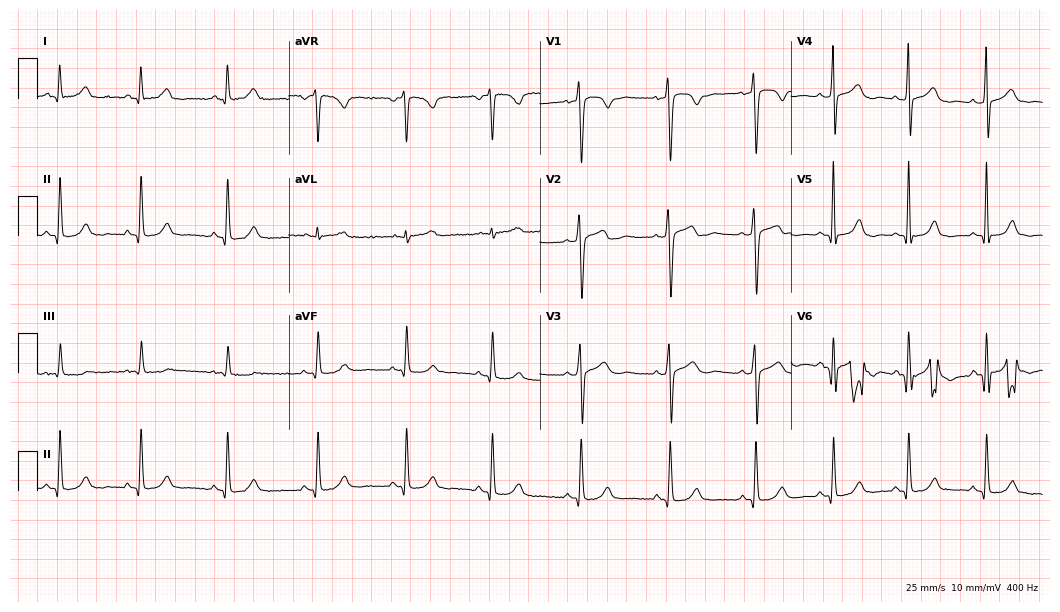
12-lead ECG from a female patient, 29 years old (10.2-second recording at 400 Hz). Recorded interpretation: within normal limits.